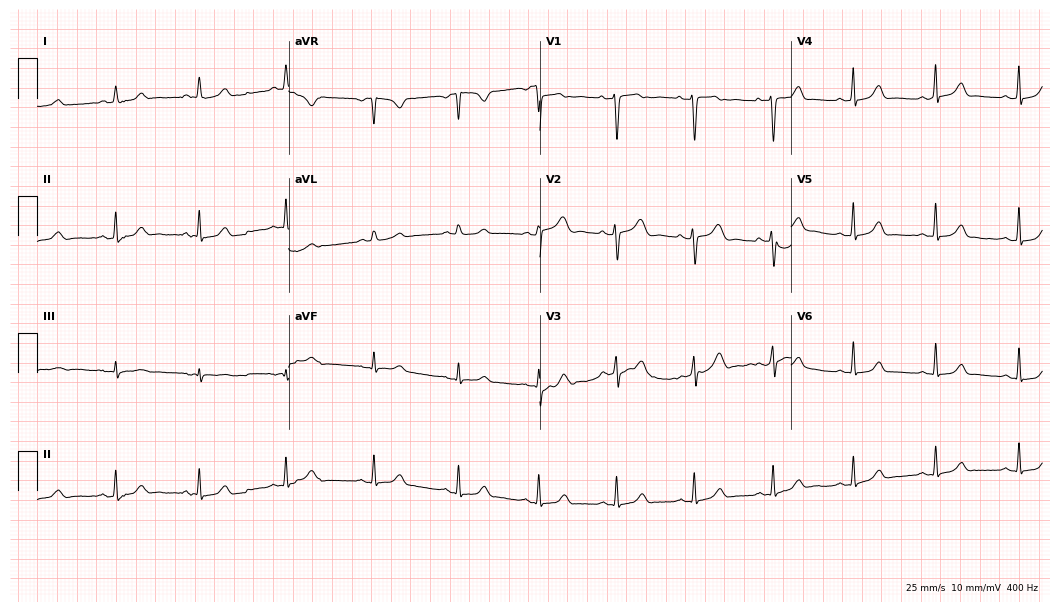
Standard 12-lead ECG recorded from a 31-year-old woman. None of these six findings is recorded: first-degree AV block, right bundle branch block (RBBB), left bundle branch block (LBBB), sinus bradycardia, atrial fibrillation (AF), sinus tachycardia.